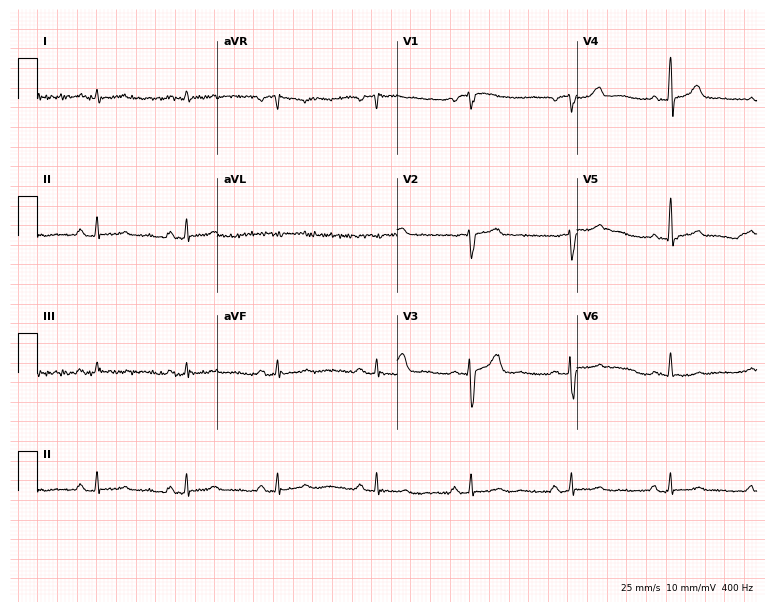
Resting 12-lead electrocardiogram (7.3-second recording at 400 Hz). Patient: a 61-year-old male. None of these six findings is recorded: first-degree AV block, right bundle branch block, left bundle branch block, sinus bradycardia, atrial fibrillation, sinus tachycardia. Other findings, if any, are not listed.